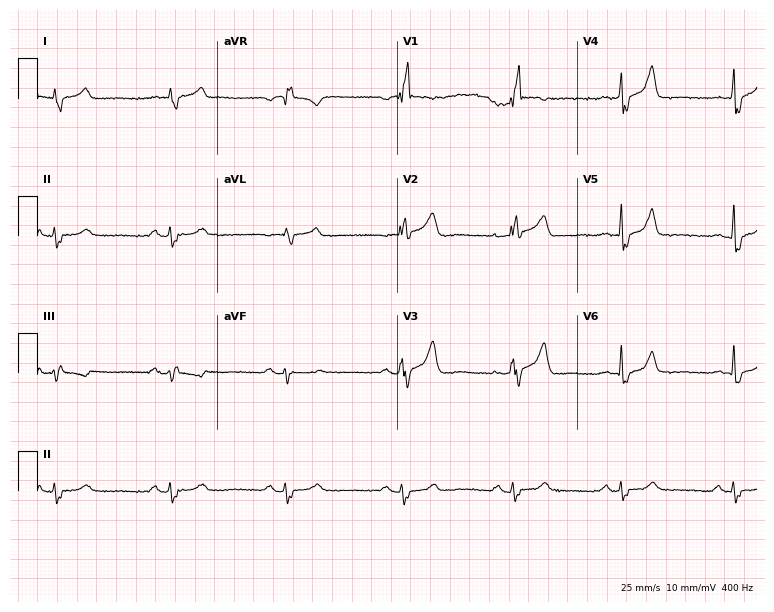
Resting 12-lead electrocardiogram (7.3-second recording at 400 Hz). Patient: a 77-year-old male. The tracing shows right bundle branch block.